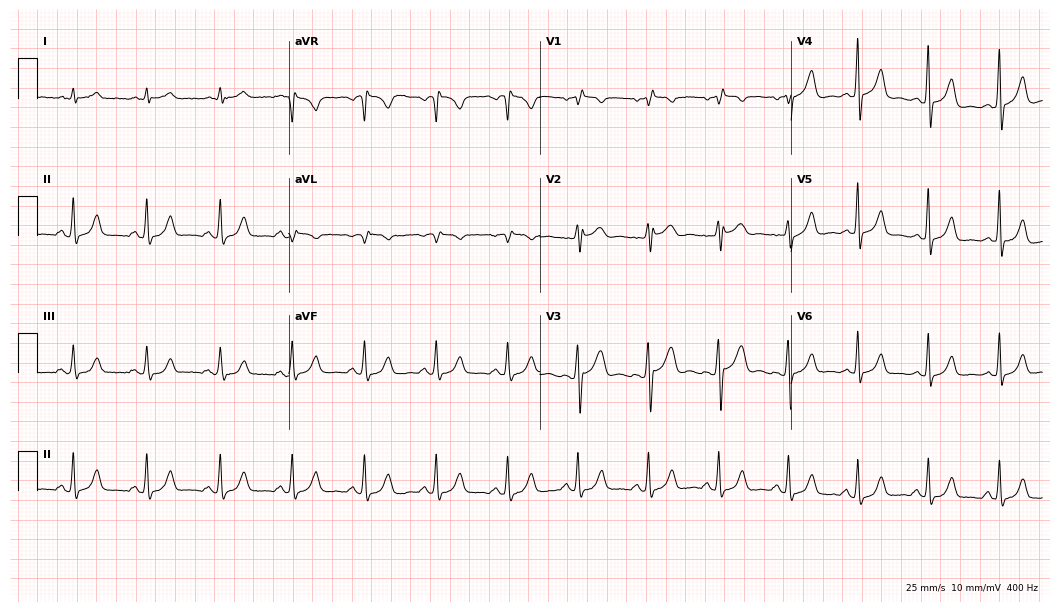
Standard 12-lead ECG recorded from a man, 57 years old. None of these six findings is recorded: first-degree AV block, right bundle branch block, left bundle branch block, sinus bradycardia, atrial fibrillation, sinus tachycardia.